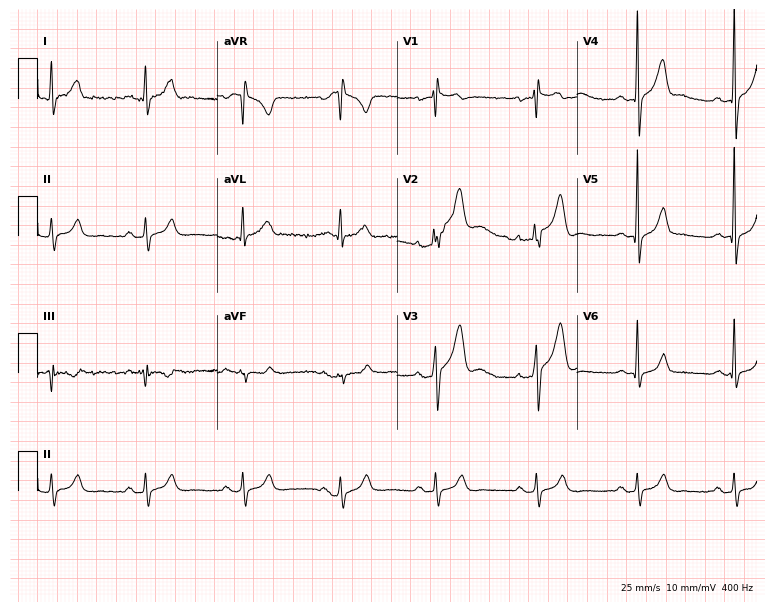
Resting 12-lead electrocardiogram. Patient: a man, 33 years old. None of these six findings is recorded: first-degree AV block, right bundle branch block, left bundle branch block, sinus bradycardia, atrial fibrillation, sinus tachycardia.